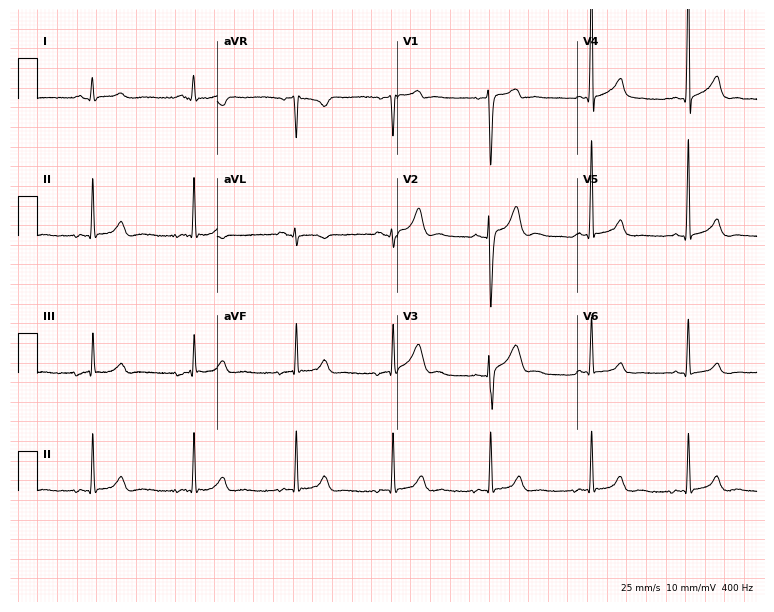
12-lead ECG from a 29-year-old male. Labelled as a normal ECG.